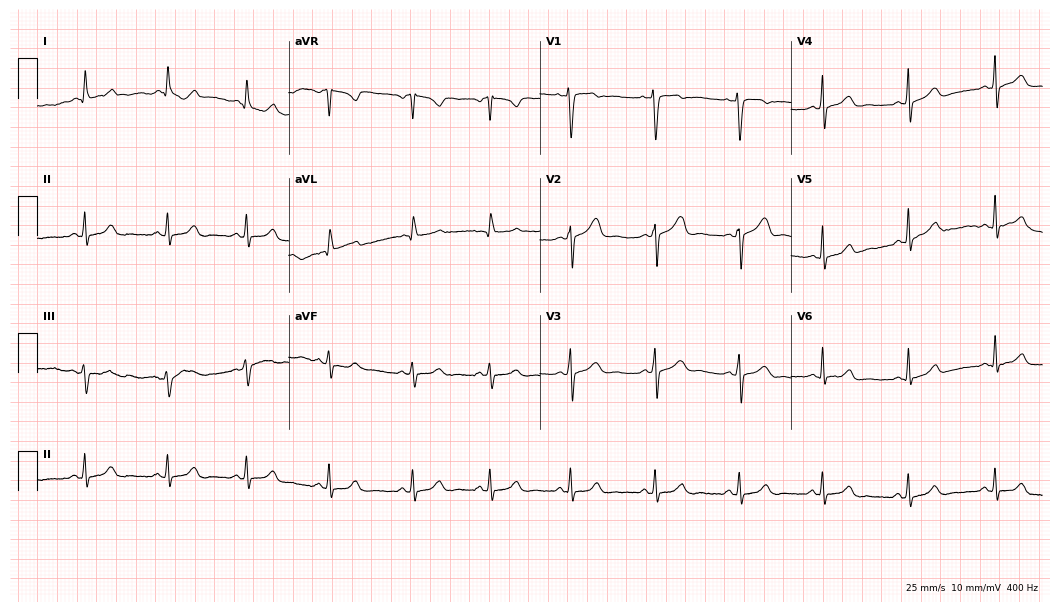
12-lead ECG from a 33-year-old female patient (10.2-second recording at 400 Hz). Recorded interpretation: within normal limits.